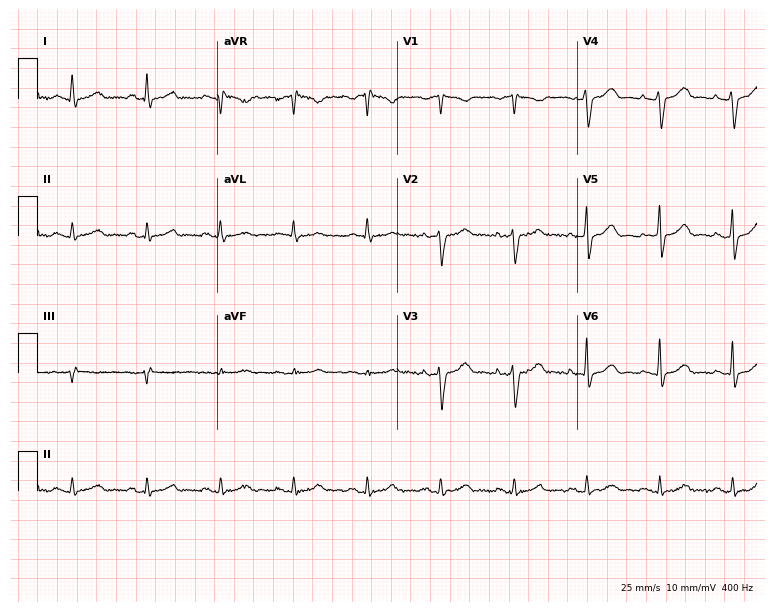
Standard 12-lead ECG recorded from a 65-year-old male patient. None of these six findings is recorded: first-degree AV block, right bundle branch block, left bundle branch block, sinus bradycardia, atrial fibrillation, sinus tachycardia. Findings outside these six are not listed.